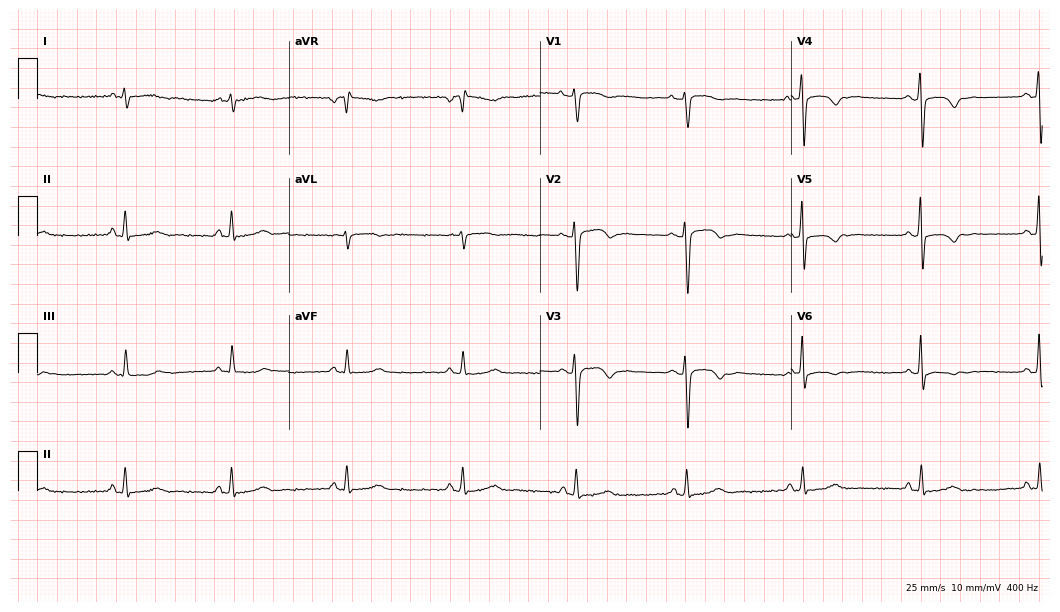
Standard 12-lead ECG recorded from a woman, 58 years old (10.2-second recording at 400 Hz). Read as a normal ECG.